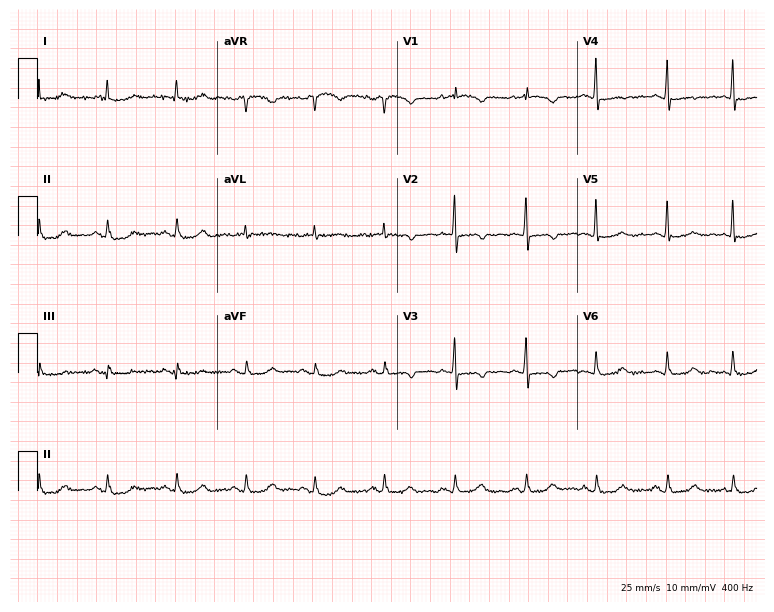
Standard 12-lead ECG recorded from a 78-year-old woman. Read as a normal ECG.